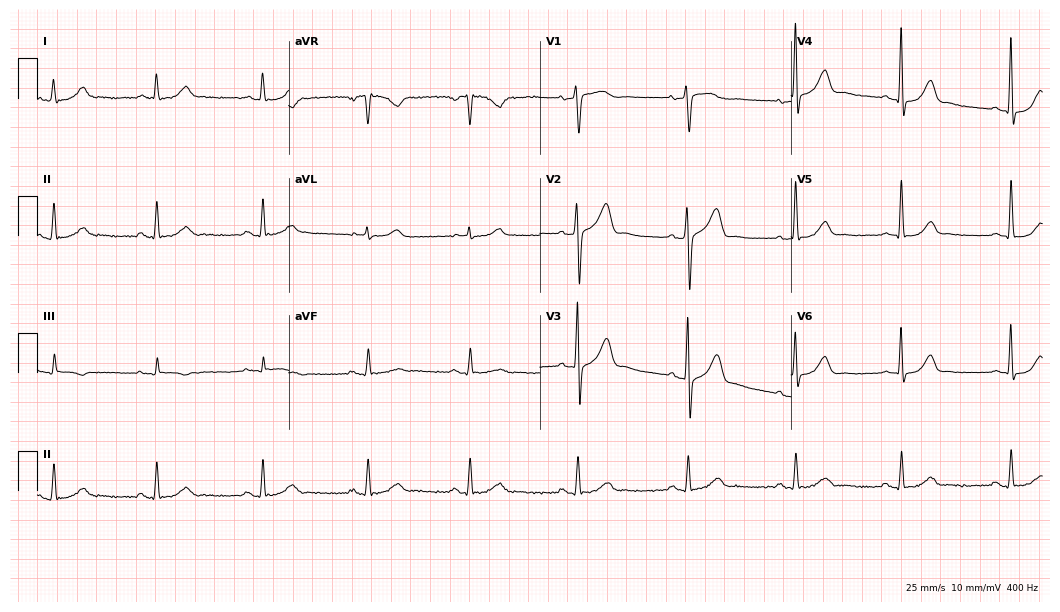
Resting 12-lead electrocardiogram. Patient: a 66-year-old man. Read as a normal ECG.